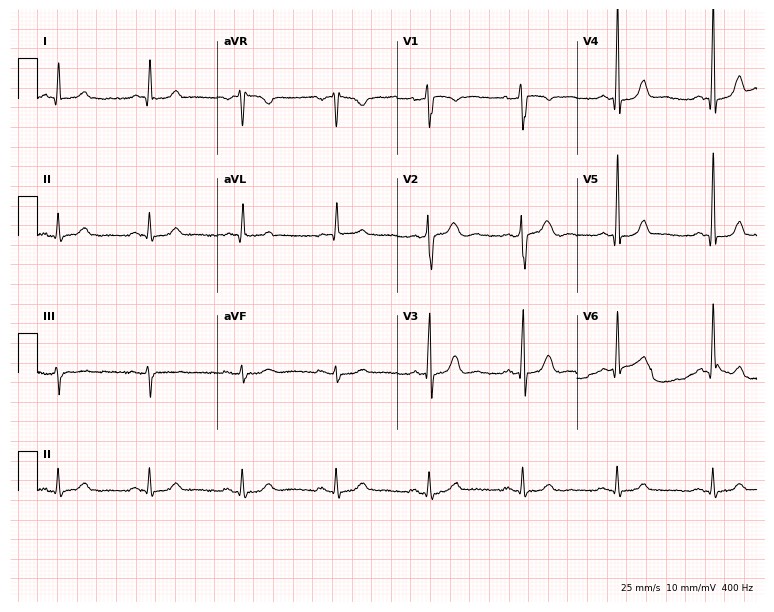
Standard 12-lead ECG recorded from a 71-year-old female. None of these six findings is recorded: first-degree AV block, right bundle branch block, left bundle branch block, sinus bradycardia, atrial fibrillation, sinus tachycardia.